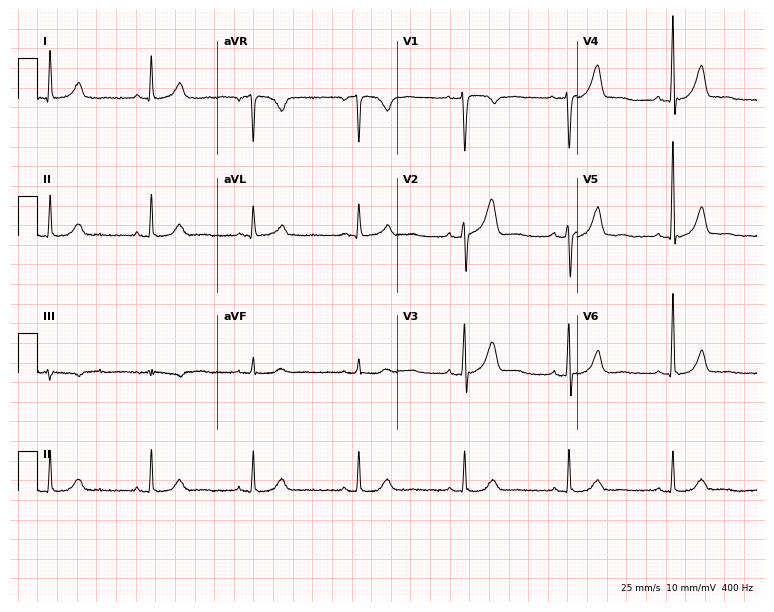
Resting 12-lead electrocardiogram. Patient: a man, 50 years old. None of these six findings is recorded: first-degree AV block, right bundle branch block, left bundle branch block, sinus bradycardia, atrial fibrillation, sinus tachycardia. Findings outside these six are not listed.